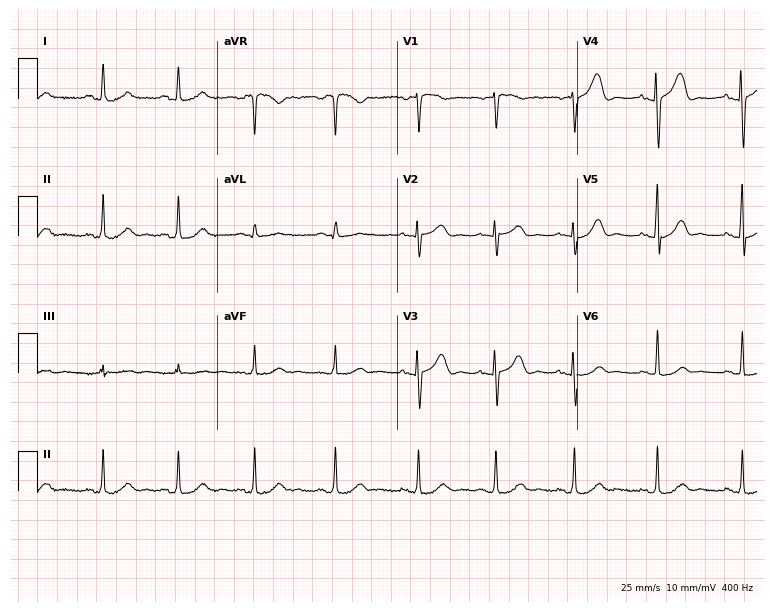
Resting 12-lead electrocardiogram (7.3-second recording at 400 Hz). Patient: a 41-year-old female. Read as a normal ECG.